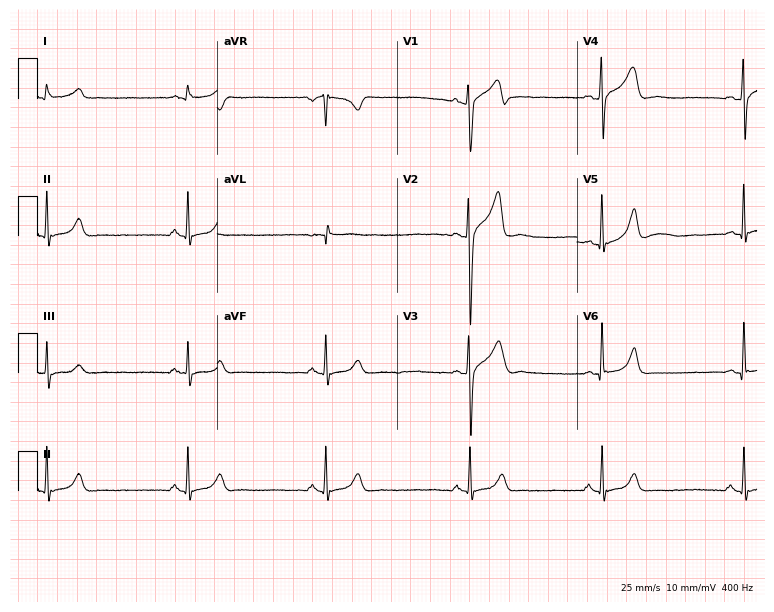
Standard 12-lead ECG recorded from a male, 29 years old. None of these six findings is recorded: first-degree AV block, right bundle branch block, left bundle branch block, sinus bradycardia, atrial fibrillation, sinus tachycardia.